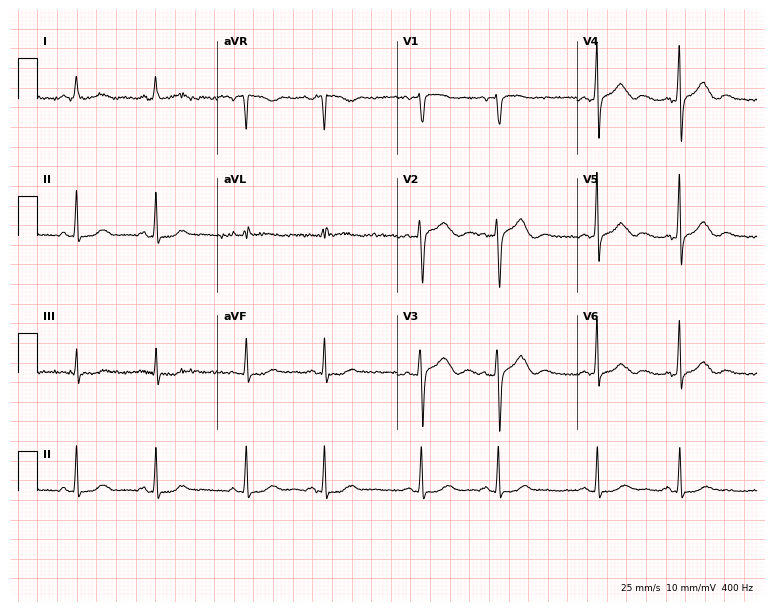
Standard 12-lead ECG recorded from a female, 61 years old. Read as a normal ECG.